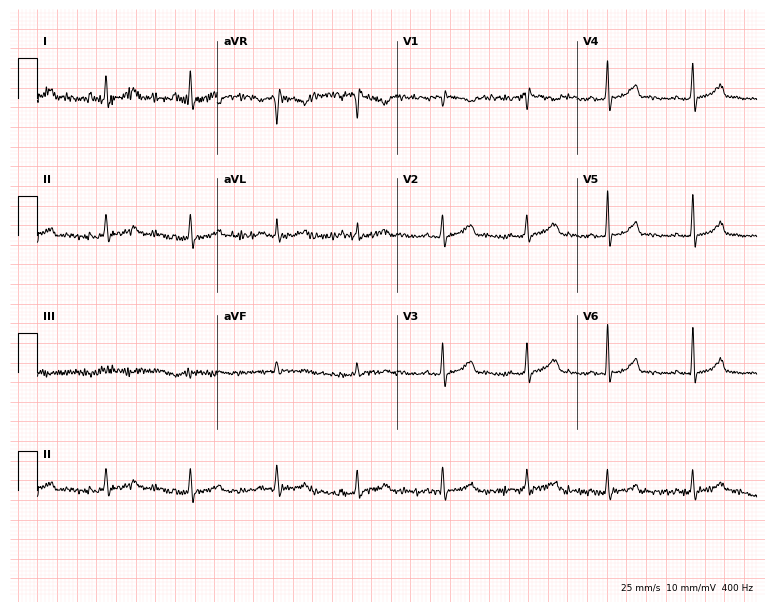
12-lead ECG from a 23-year-old woman (7.3-second recording at 400 Hz). No first-degree AV block, right bundle branch block, left bundle branch block, sinus bradycardia, atrial fibrillation or sinus tachycardia recorded for this tracing.